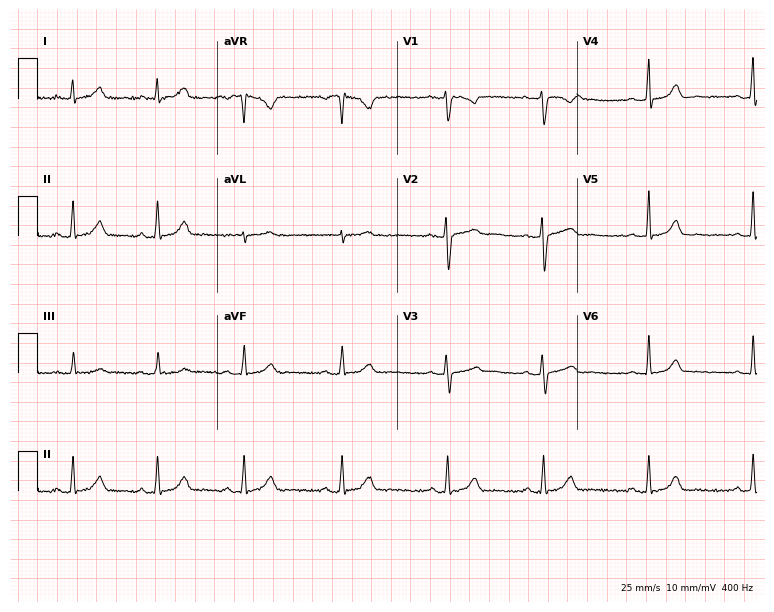
12-lead ECG from a 41-year-old female. Recorded interpretation: within normal limits.